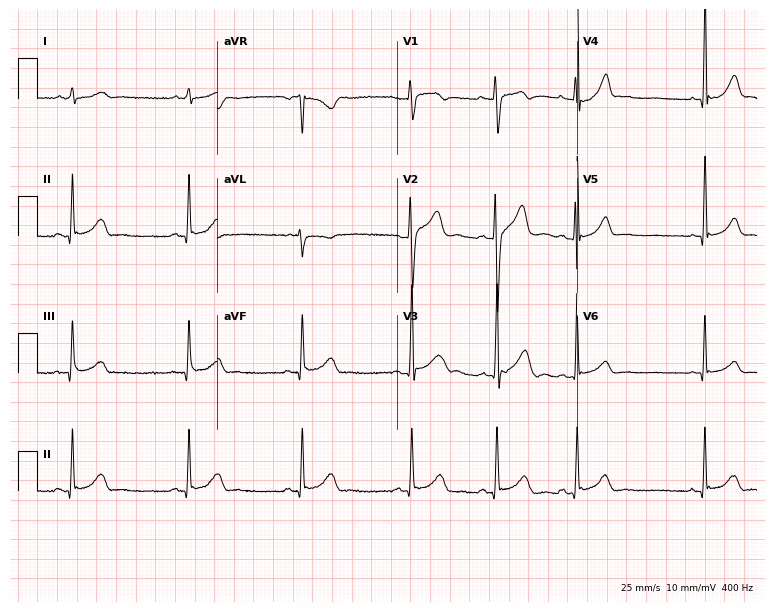
12-lead ECG from an 18-year-old male. No first-degree AV block, right bundle branch block (RBBB), left bundle branch block (LBBB), sinus bradycardia, atrial fibrillation (AF) or sinus tachycardia recorded for this tracing.